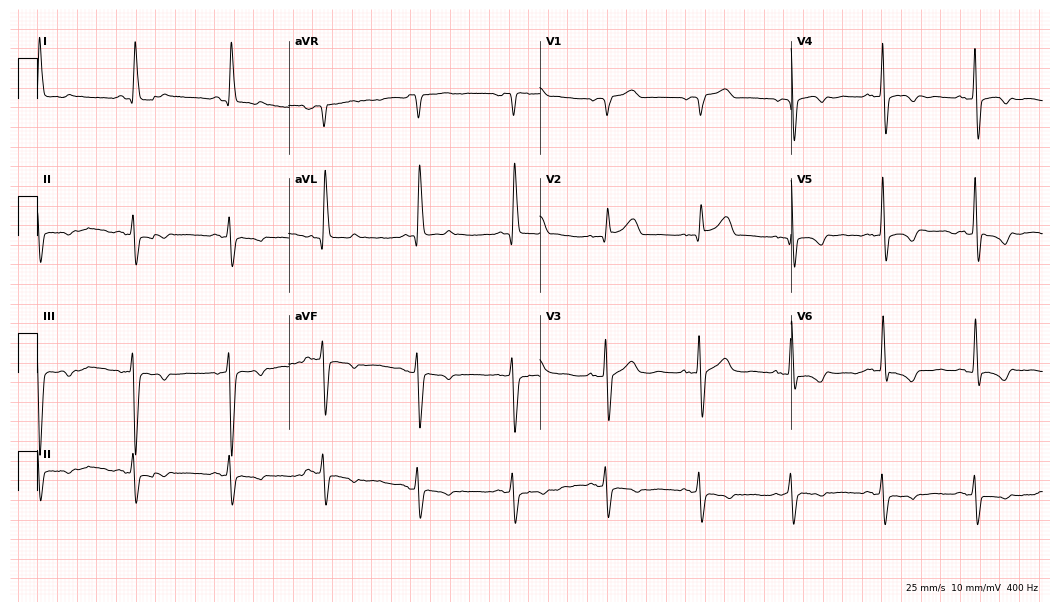
ECG — a male, 68 years old. Screened for six findings — first-degree AV block, right bundle branch block, left bundle branch block, sinus bradycardia, atrial fibrillation, sinus tachycardia — none is recorded.